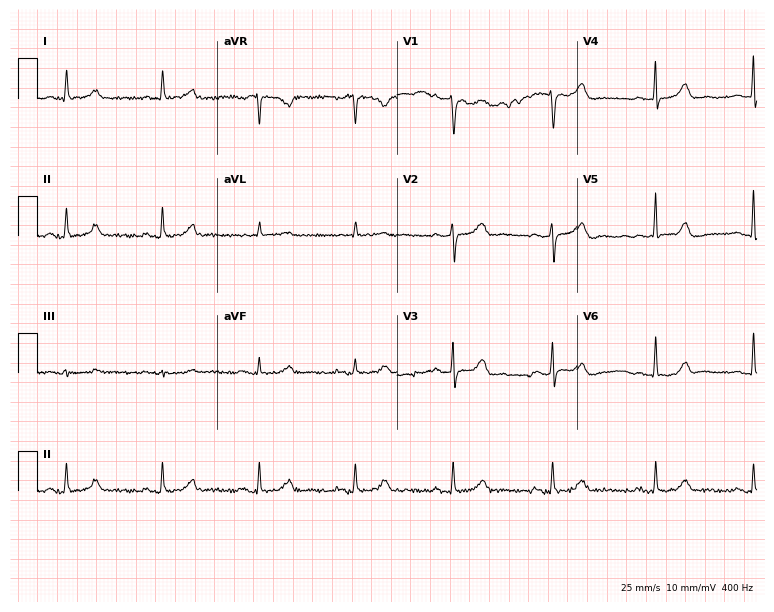
Resting 12-lead electrocardiogram. Patient: a 56-year-old female. Read as a normal ECG.